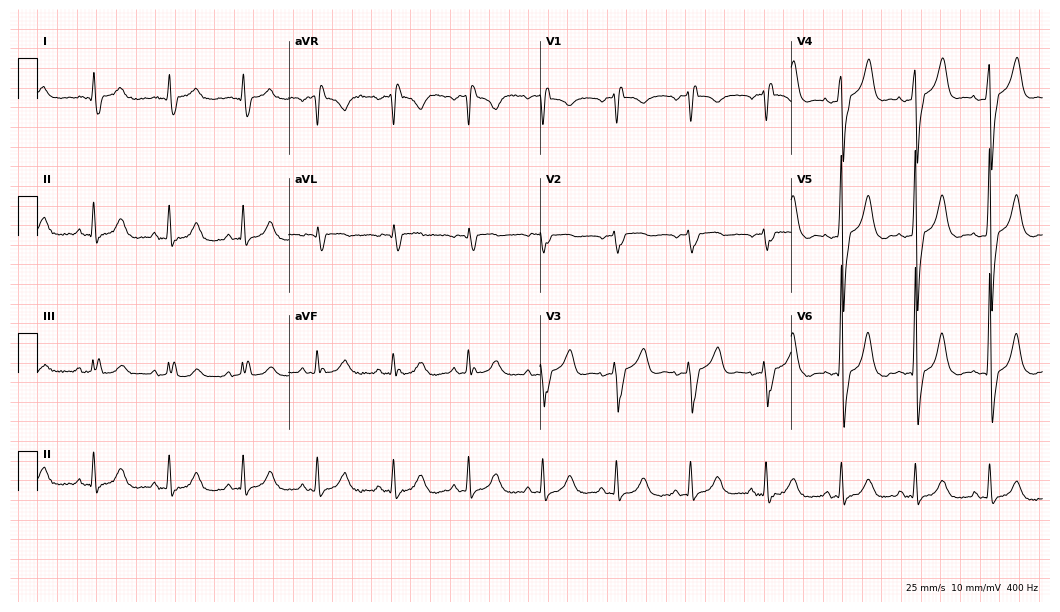
12-lead ECG from a 78-year-old male patient. Shows right bundle branch block.